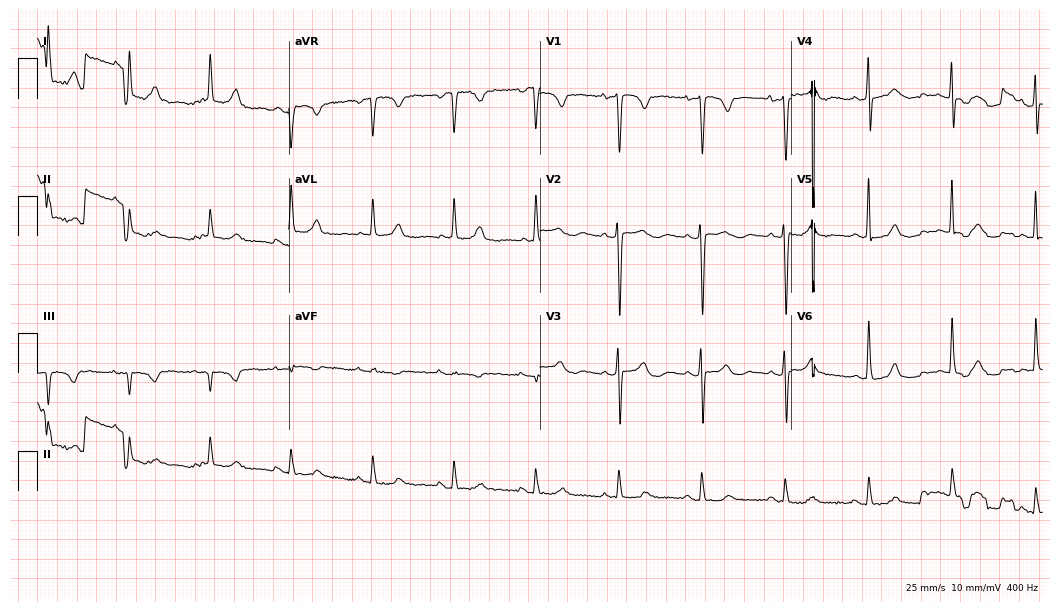
12-lead ECG (10.2-second recording at 400 Hz) from a woman, 79 years old. Labelled as a normal ECG.